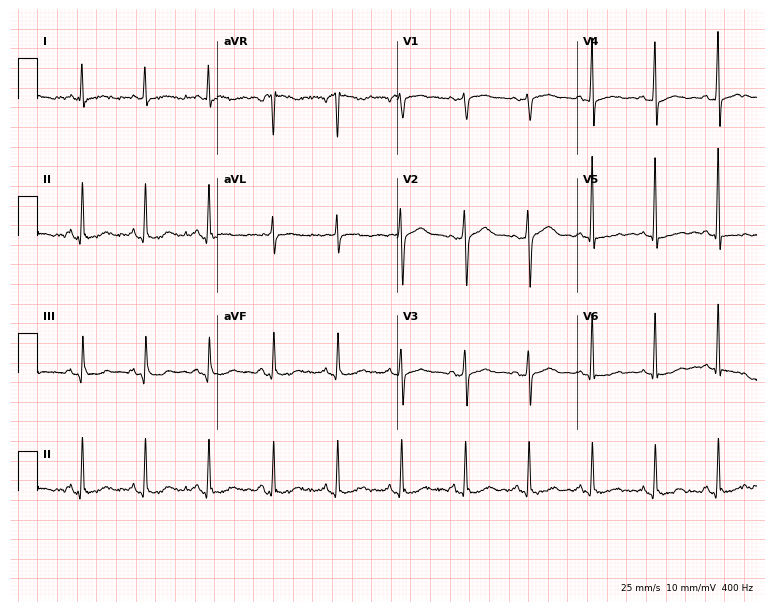
Standard 12-lead ECG recorded from a 67-year-old woman. None of these six findings is recorded: first-degree AV block, right bundle branch block (RBBB), left bundle branch block (LBBB), sinus bradycardia, atrial fibrillation (AF), sinus tachycardia.